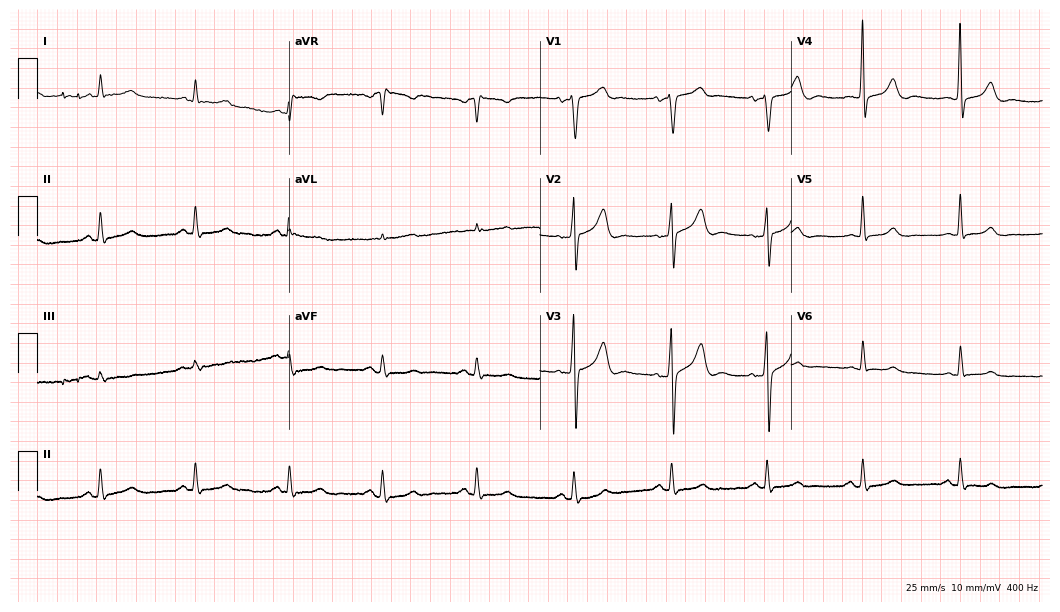
Standard 12-lead ECG recorded from a 73-year-old male patient. None of these six findings is recorded: first-degree AV block, right bundle branch block, left bundle branch block, sinus bradycardia, atrial fibrillation, sinus tachycardia.